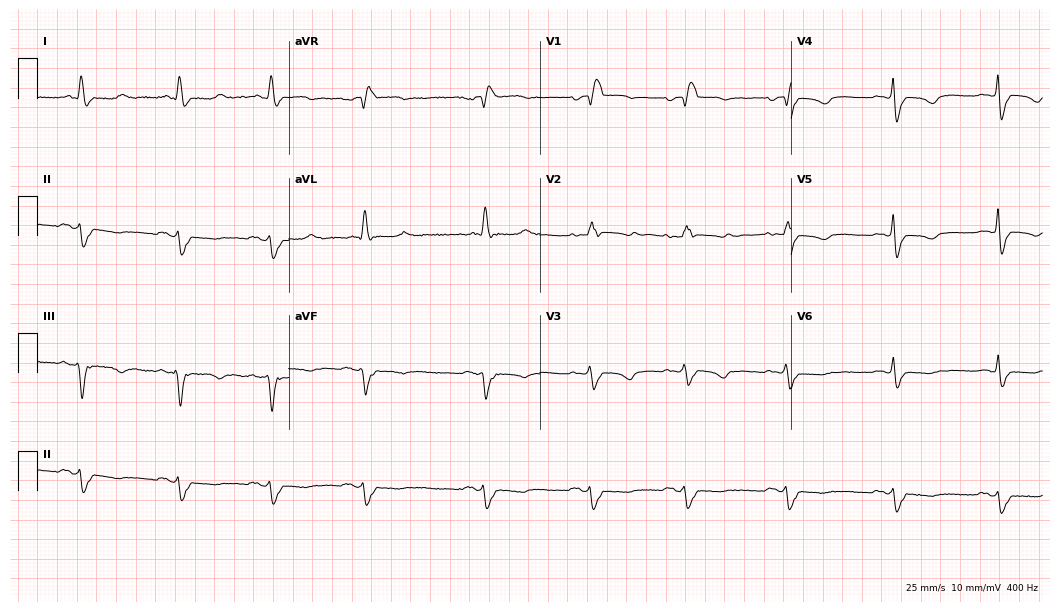
Standard 12-lead ECG recorded from a female patient, 69 years old. The tracing shows right bundle branch block.